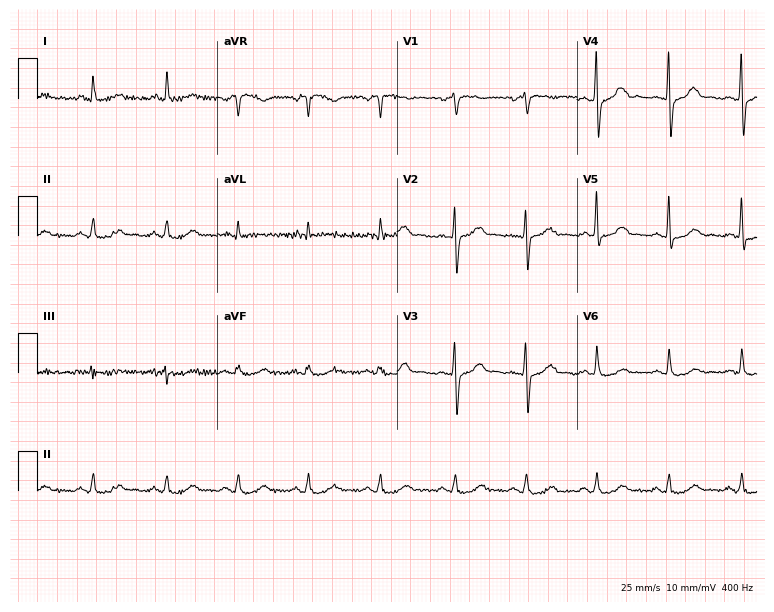
Standard 12-lead ECG recorded from a 59-year-old male patient (7.3-second recording at 400 Hz). Read as a normal ECG.